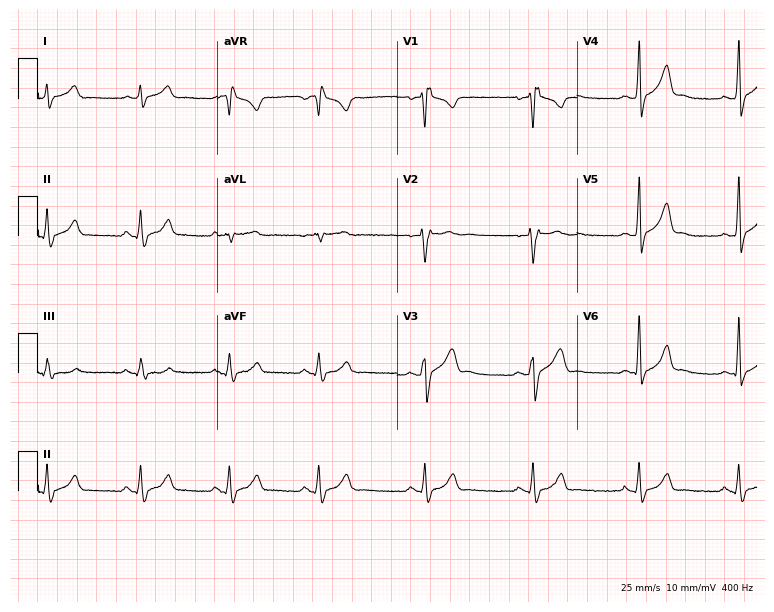
Electrocardiogram, a 21-year-old man. Interpretation includes right bundle branch block.